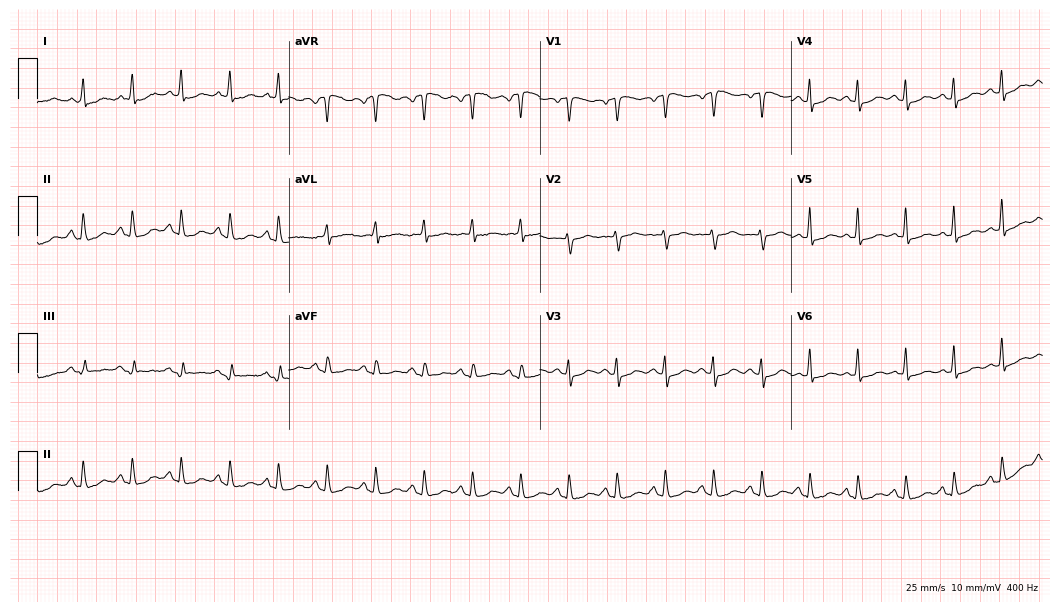
Electrocardiogram, a male patient, 60 years old. Interpretation includes sinus tachycardia (a sinus rate of 100 beats per minute or more).